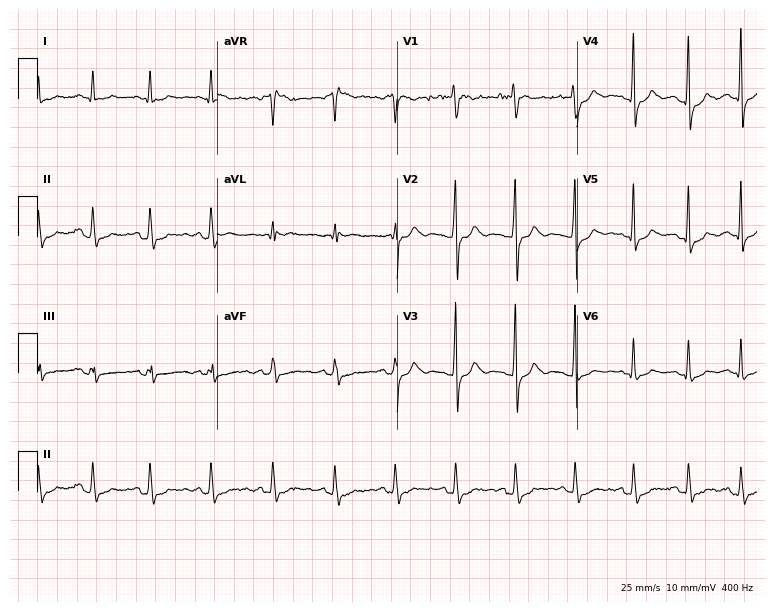
Electrocardiogram, a female, 26 years old. Of the six screened findings (first-degree AV block, right bundle branch block, left bundle branch block, sinus bradycardia, atrial fibrillation, sinus tachycardia), none is recorded. Findings outside these six are not listed.